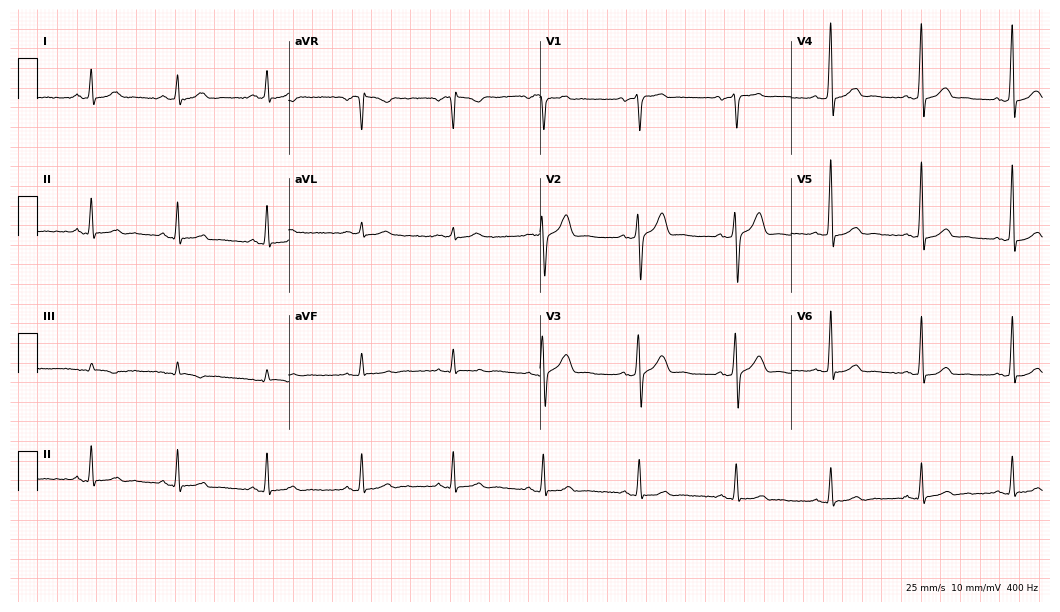
Electrocardiogram (10.2-second recording at 400 Hz), a female, 22 years old. Overall reading on record: normal ECG.